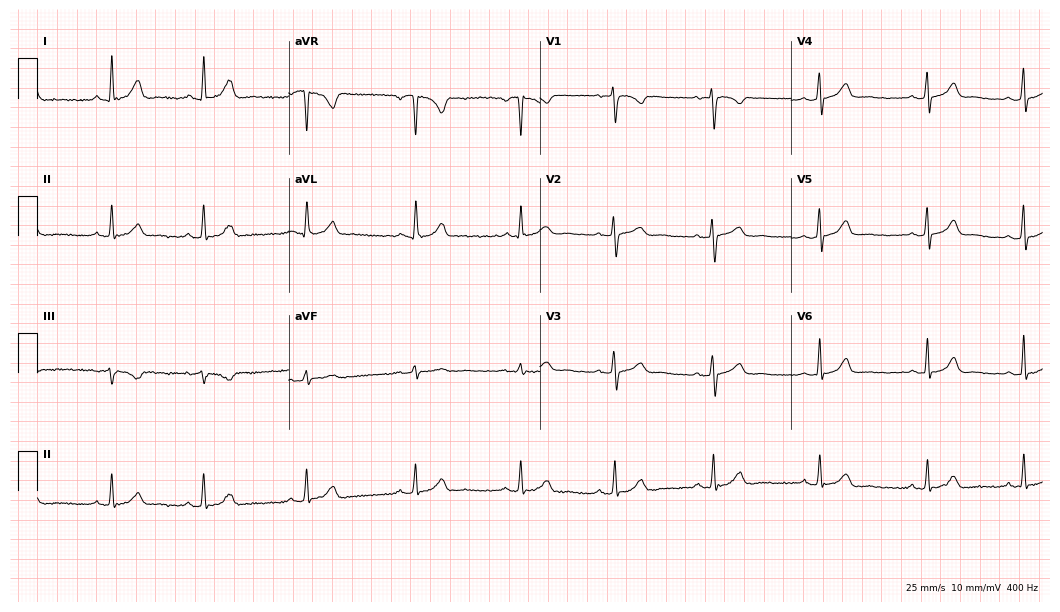
Resting 12-lead electrocardiogram (10.2-second recording at 400 Hz). Patient: a female, 35 years old. None of these six findings is recorded: first-degree AV block, right bundle branch block, left bundle branch block, sinus bradycardia, atrial fibrillation, sinus tachycardia.